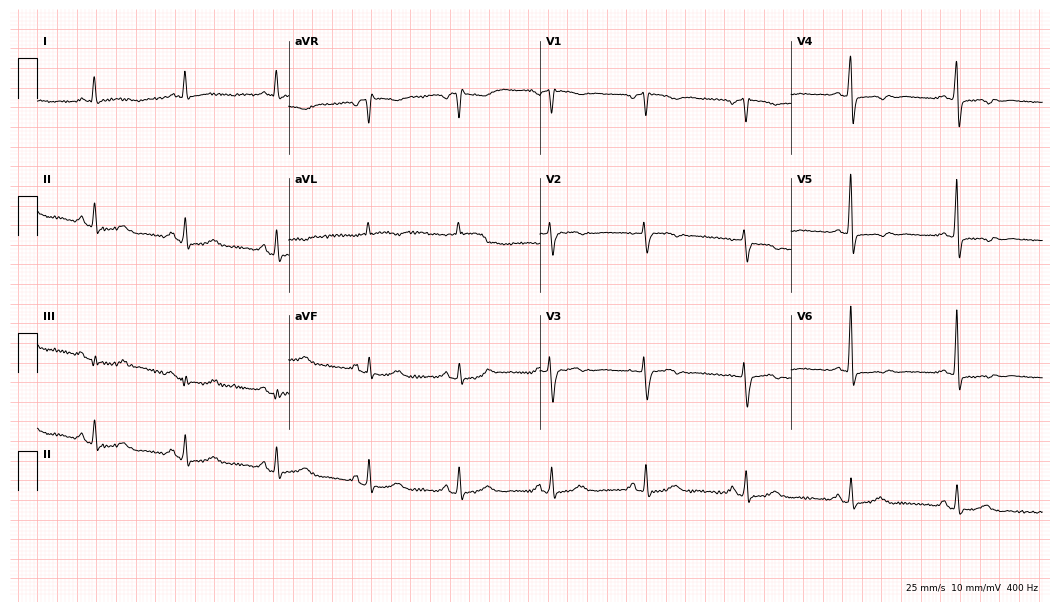
ECG (10.2-second recording at 400 Hz) — a 59-year-old female. Screened for six findings — first-degree AV block, right bundle branch block, left bundle branch block, sinus bradycardia, atrial fibrillation, sinus tachycardia — none is recorded.